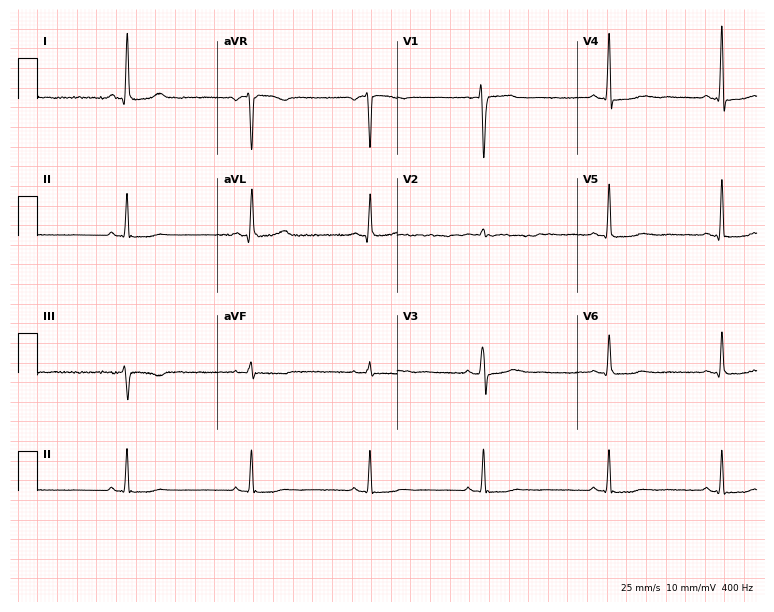
Resting 12-lead electrocardiogram (7.3-second recording at 400 Hz). Patient: a 52-year-old female. The tracing shows right bundle branch block (RBBB).